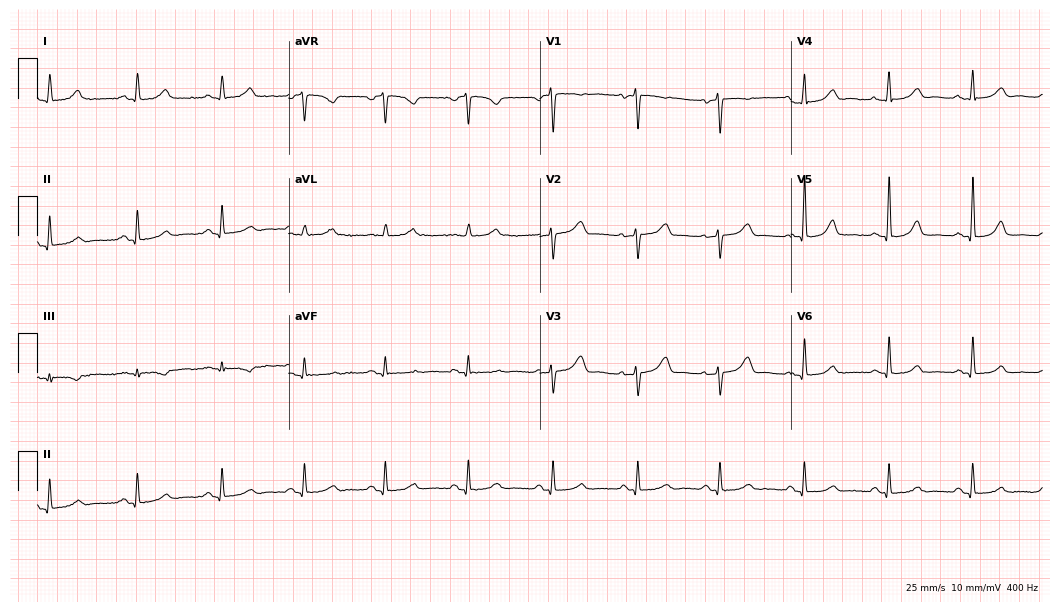
12-lead ECG from a 49-year-old female patient. Screened for six findings — first-degree AV block, right bundle branch block, left bundle branch block, sinus bradycardia, atrial fibrillation, sinus tachycardia — none is recorded. Other findings, if any, are not listed.